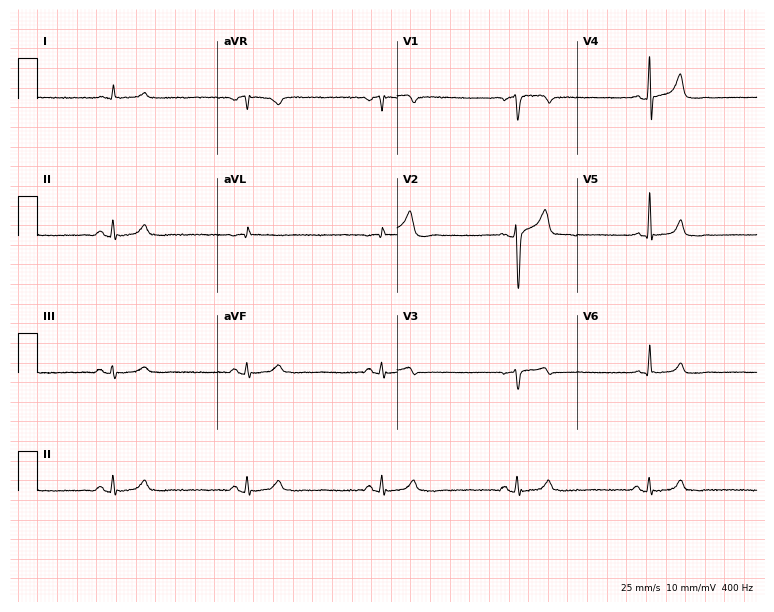
Electrocardiogram, a male, 61 years old. Interpretation includes sinus bradycardia (a sinus rate of 50 beats per minute or less).